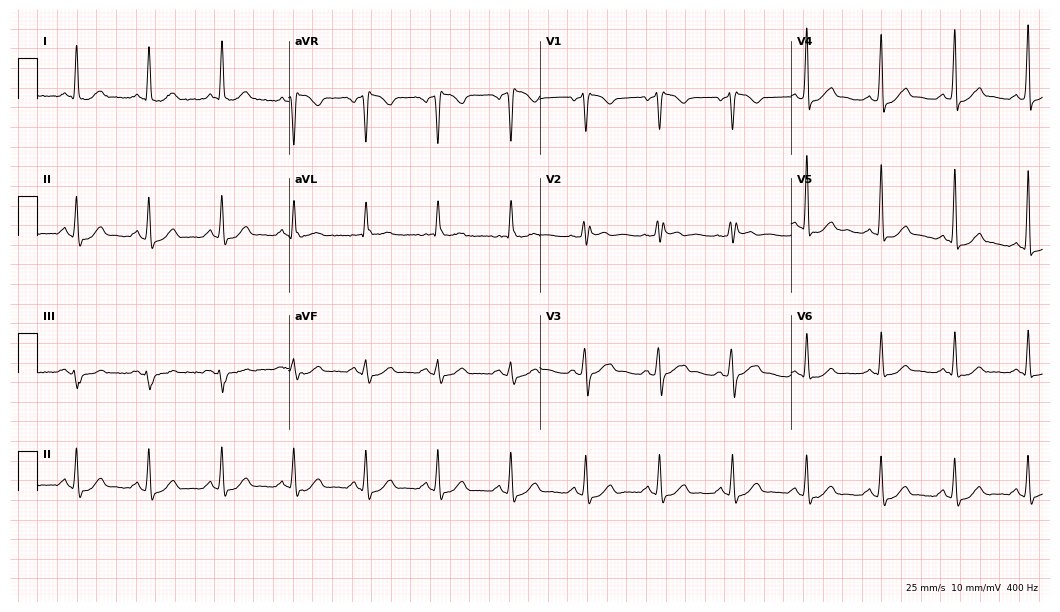
12-lead ECG (10.2-second recording at 400 Hz) from a 56-year-old man. Screened for six findings — first-degree AV block, right bundle branch block (RBBB), left bundle branch block (LBBB), sinus bradycardia, atrial fibrillation (AF), sinus tachycardia — none is recorded. Other findings, if any, are not listed.